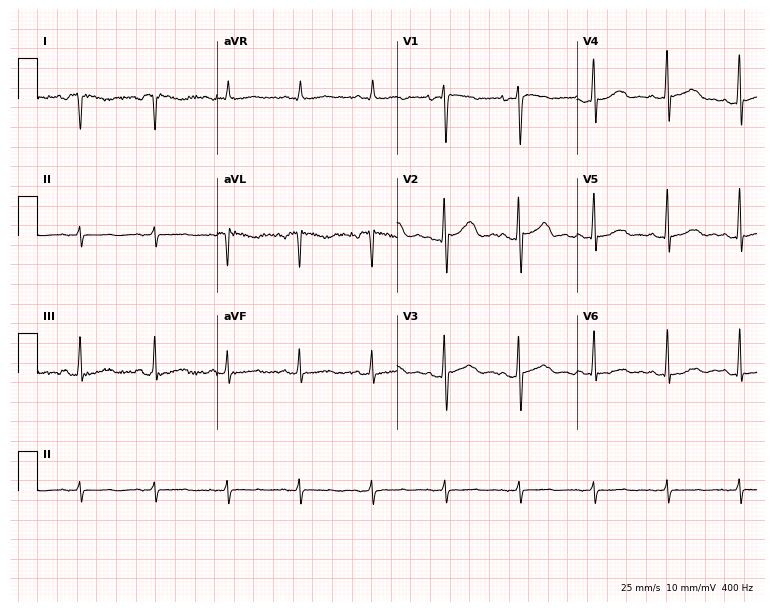
ECG (7.3-second recording at 400 Hz) — a 37-year-old female patient. Screened for six findings — first-degree AV block, right bundle branch block (RBBB), left bundle branch block (LBBB), sinus bradycardia, atrial fibrillation (AF), sinus tachycardia — none is recorded.